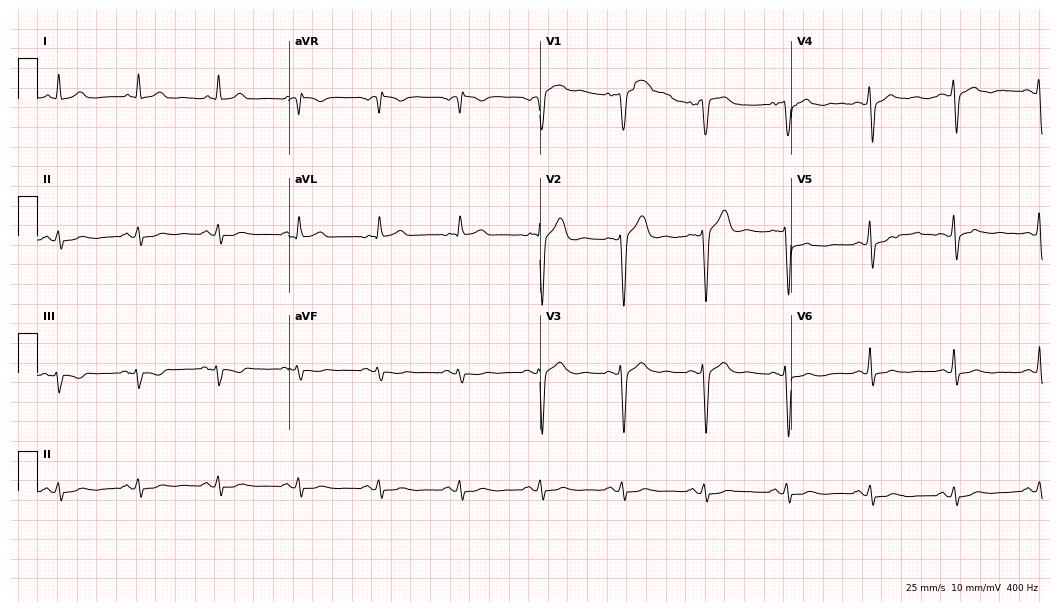
Electrocardiogram (10.2-second recording at 400 Hz), a 51-year-old male. Overall reading on record: normal ECG.